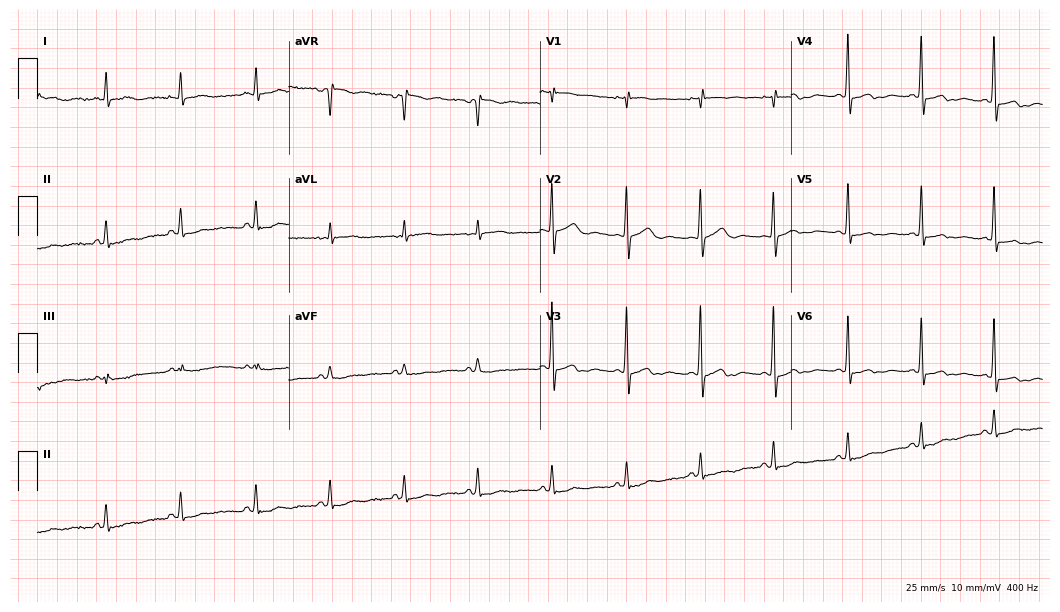
Electrocardiogram (10.2-second recording at 400 Hz), a 74-year-old male patient. Overall reading on record: normal ECG.